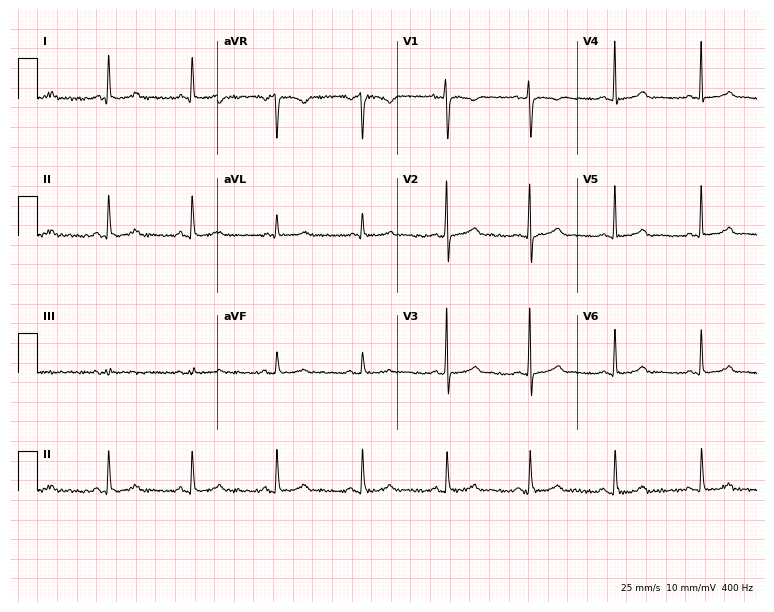
Standard 12-lead ECG recorded from a female patient, 44 years old (7.3-second recording at 400 Hz). Read as a normal ECG.